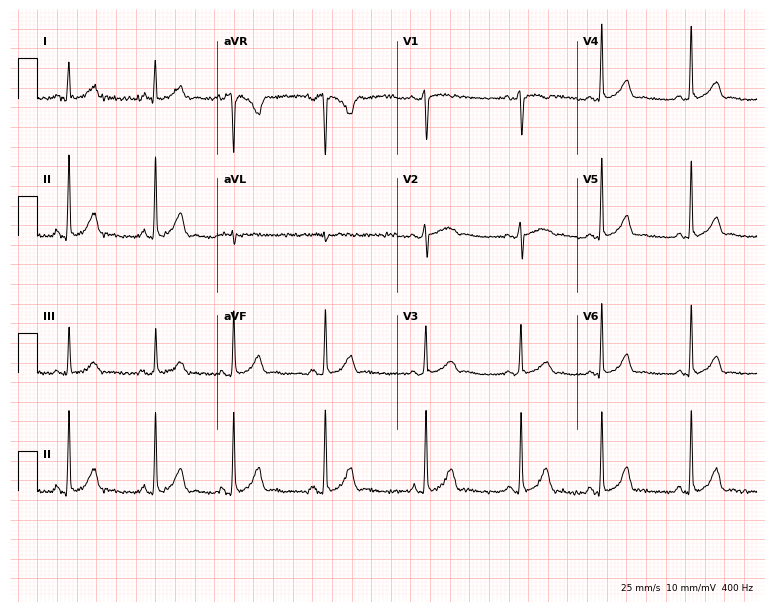
Standard 12-lead ECG recorded from a 27-year-old female patient (7.3-second recording at 400 Hz). Read as a normal ECG.